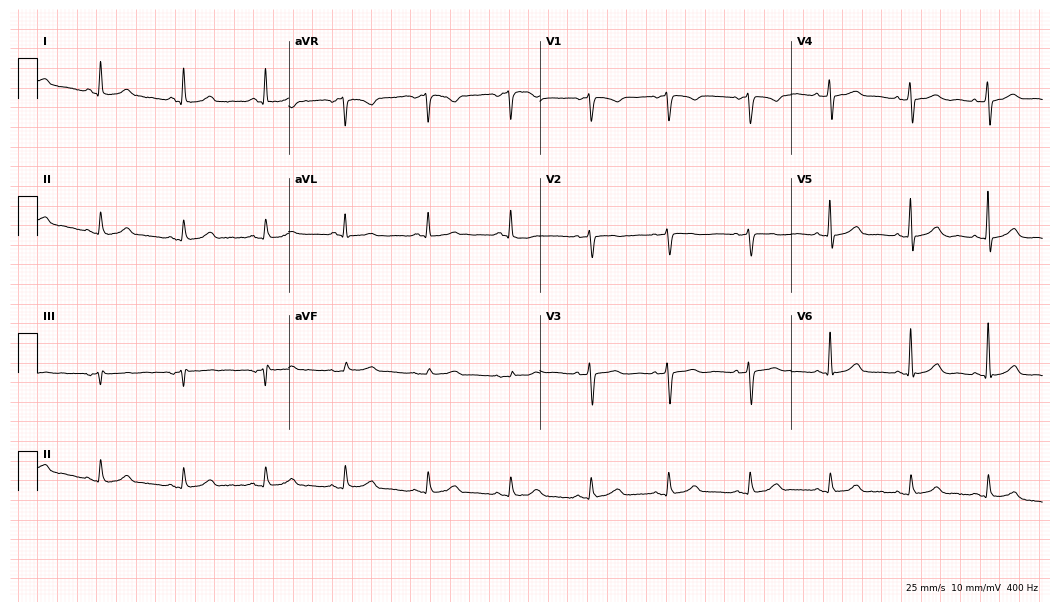
12-lead ECG (10.2-second recording at 400 Hz) from a female, 67 years old. Labelled as a normal ECG.